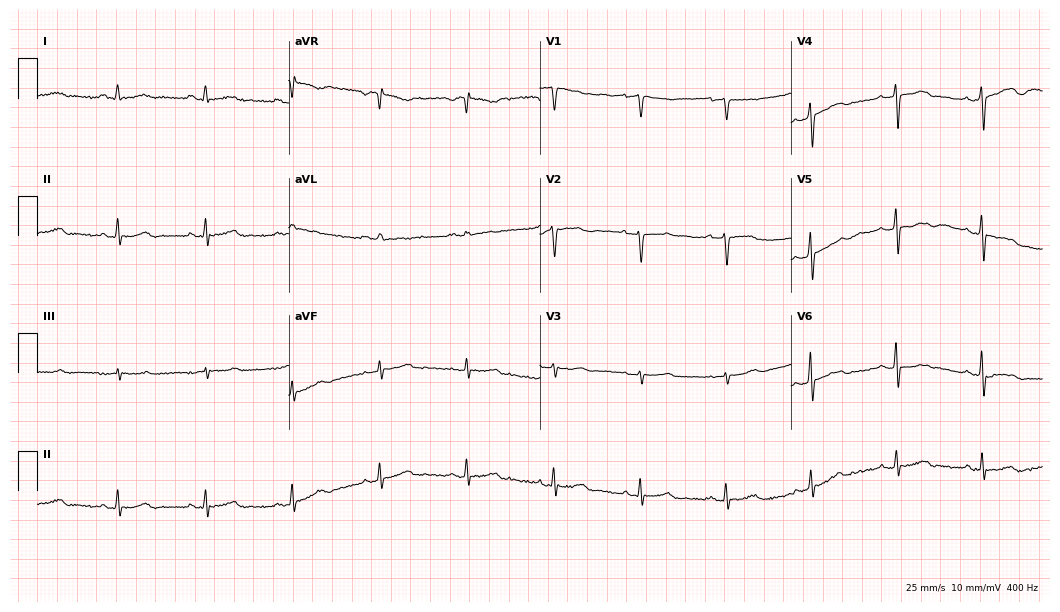
12-lead ECG (10.2-second recording at 400 Hz) from a female patient, 73 years old. Labelled as a normal ECG.